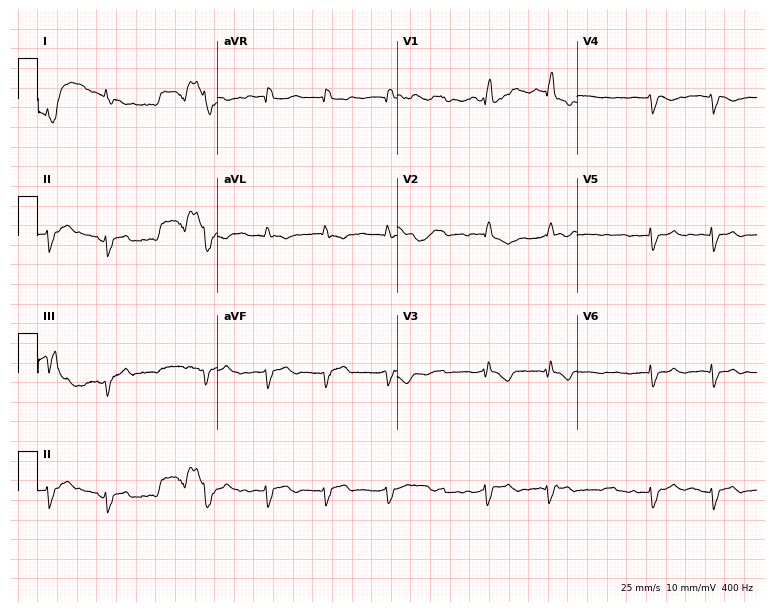
ECG — a male patient, 74 years old. Findings include atrial fibrillation (AF).